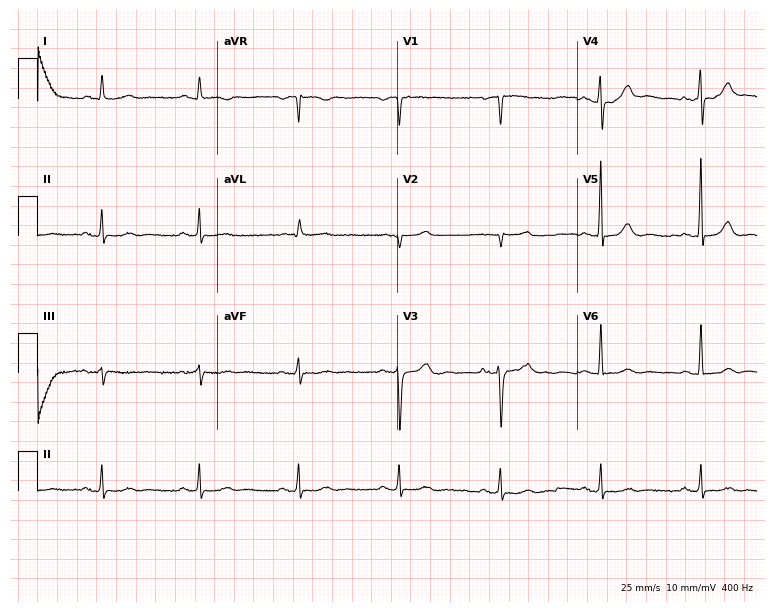
ECG (7.3-second recording at 400 Hz) — a 73-year-old man. Screened for six findings — first-degree AV block, right bundle branch block, left bundle branch block, sinus bradycardia, atrial fibrillation, sinus tachycardia — none is recorded. Findings outside these six are not listed.